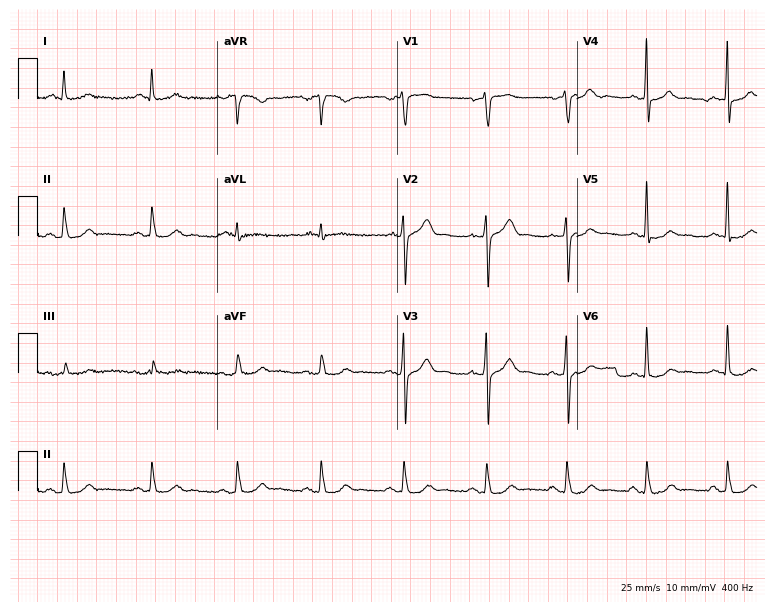
Electrocardiogram, a 54-year-old man. Overall reading on record: normal ECG.